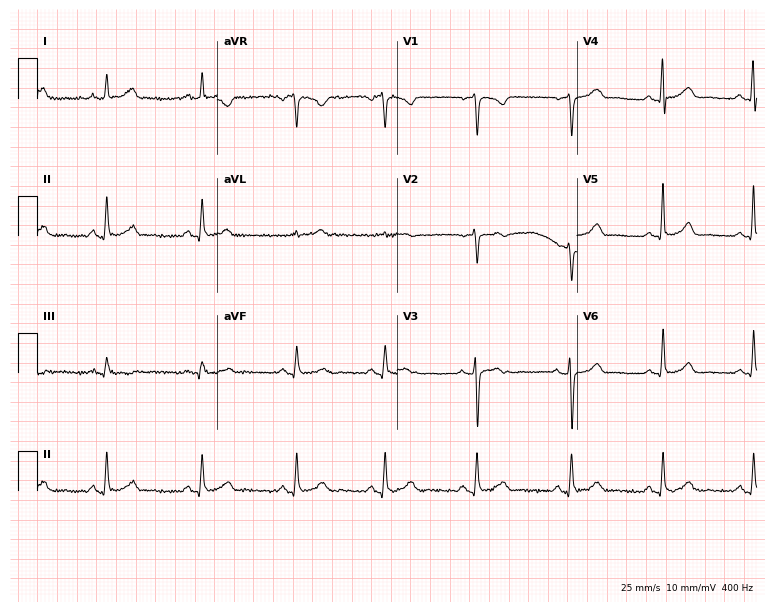
Resting 12-lead electrocardiogram. Patient: a female, 46 years old. None of these six findings is recorded: first-degree AV block, right bundle branch block, left bundle branch block, sinus bradycardia, atrial fibrillation, sinus tachycardia.